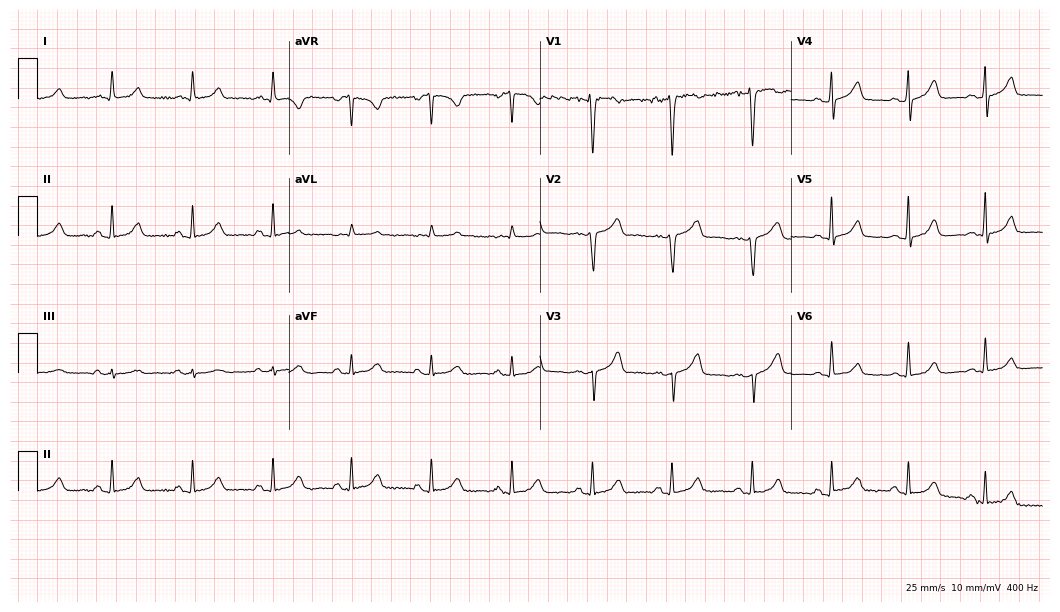
Standard 12-lead ECG recorded from a female patient, 35 years old. None of these six findings is recorded: first-degree AV block, right bundle branch block (RBBB), left bundle branch block (LBBB), sinus bradycardia, atrial fibrillation (AF), sinus tachycardia.